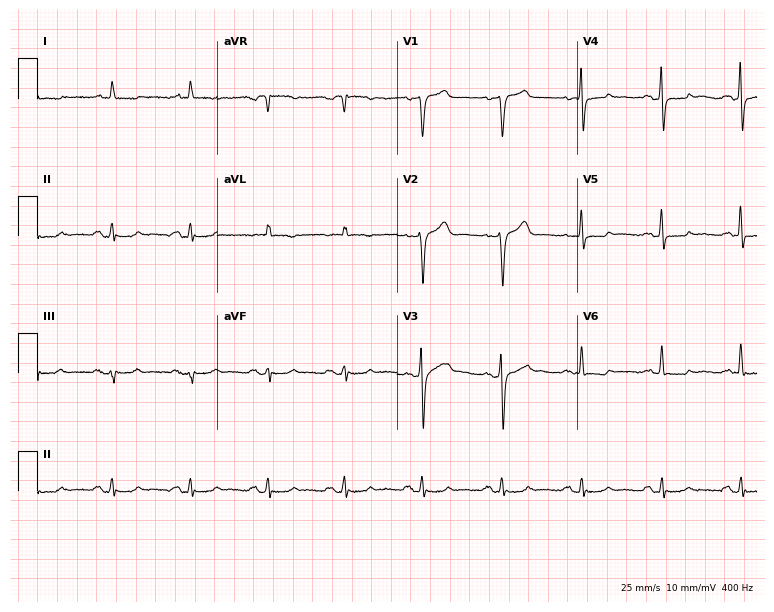
Electrocardiogram (7.3-second recording at 400 Hz), a 73-year-old male patient. Of the six screened findings (first-degree AV block, right bundle branch block, left bundle branch block, sinus bradycardia, atrial fibrillation, sinus tachycardia), none is recorded. Only these six findings were labelled.